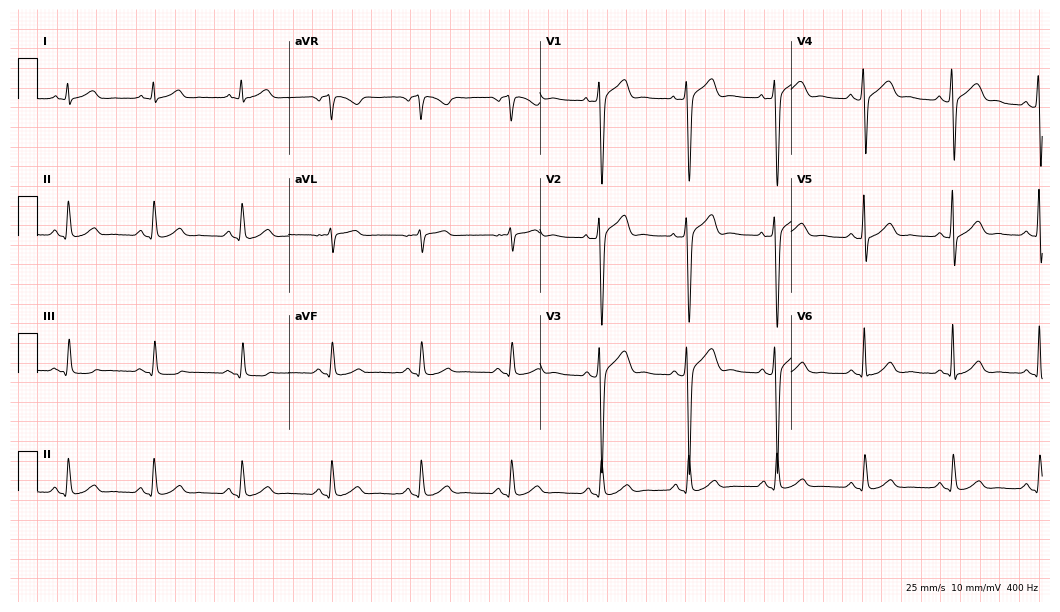
12-lead ECG (10.2-second recording at 400 Hz) from a 30-year-old man. Screened for six findings — first-degree AV block, right bundle branch block, left bundle branch block, sinus bradycardia, atrial fibrillation, sinus tachycardia — none is recorded. Findings outside these six are not listed.